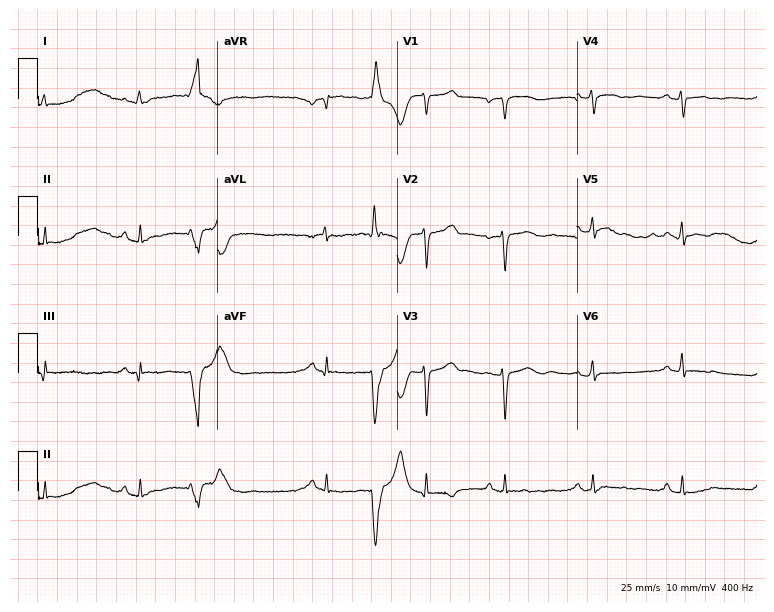
Electrocardiogram, a 62-year-old woman. Of the six screened findings (first-degree AV block, right bundle branch block, left bundle branch block, sinus bradycardia, atrial fibrillation, sinus tachycardia), none is recorded.